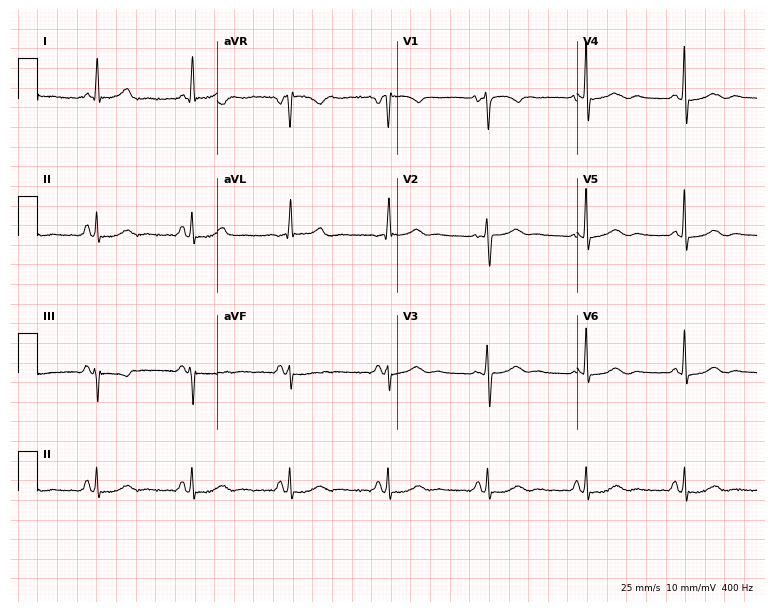
Standard 12-lead ECG recorded from a 63-year-old female. Read as a normal ECG.